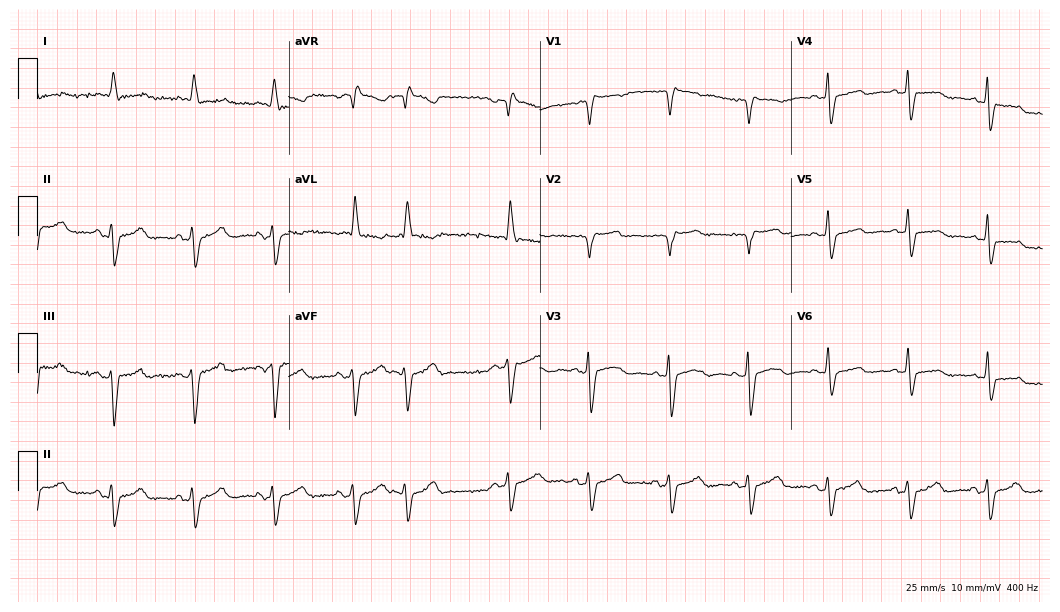
12-lead ECG (10.2-second recording at 400 Hz) from a woman, 80 years old. Screened for six findings — first-degree AV block, right bundle branch block, left bundle branch block, sinus bradycardia, atrial fibrillation, sinus tachycardia — none is recorded. Findings outside these six are not listed.